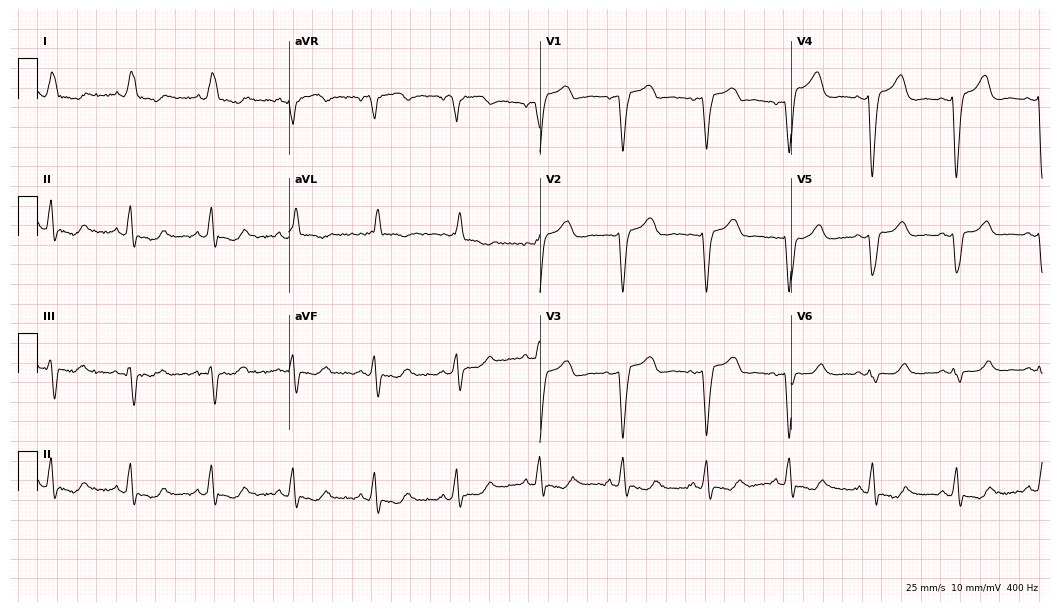
ECG (10.2-second recording at 400 Hz) — a woman, 66 years old. Findings include left bundle branch block.